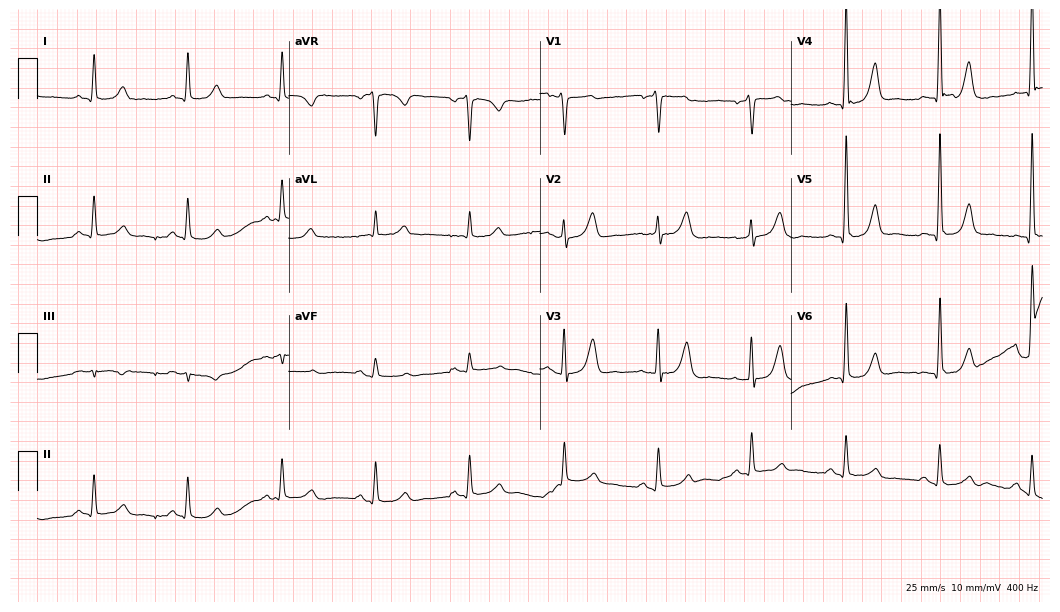
Resting 12-lead electrocardiogram (10.2-second recording at 400 Hz). Patient: a 48-year-old female. Read as a normal ECG.